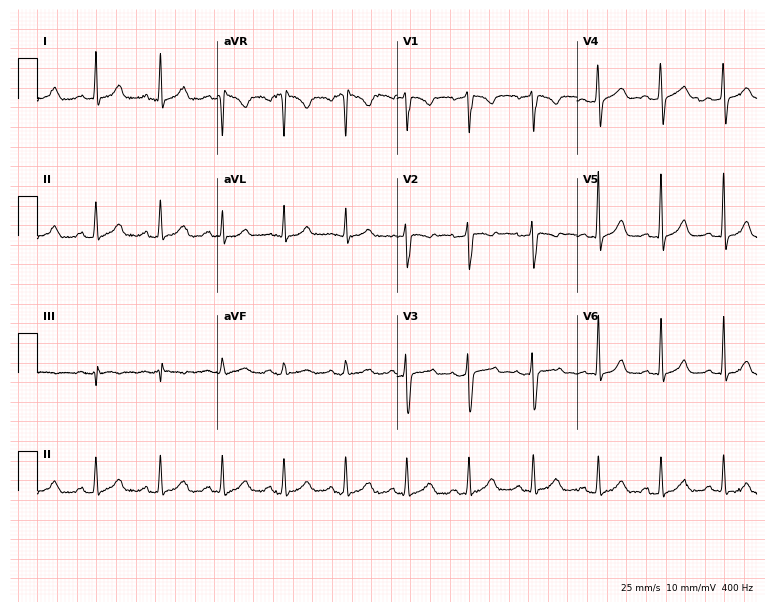
Standard 12-lead ECG recorded from a 38-year-old woman. Read as a normal ECG.